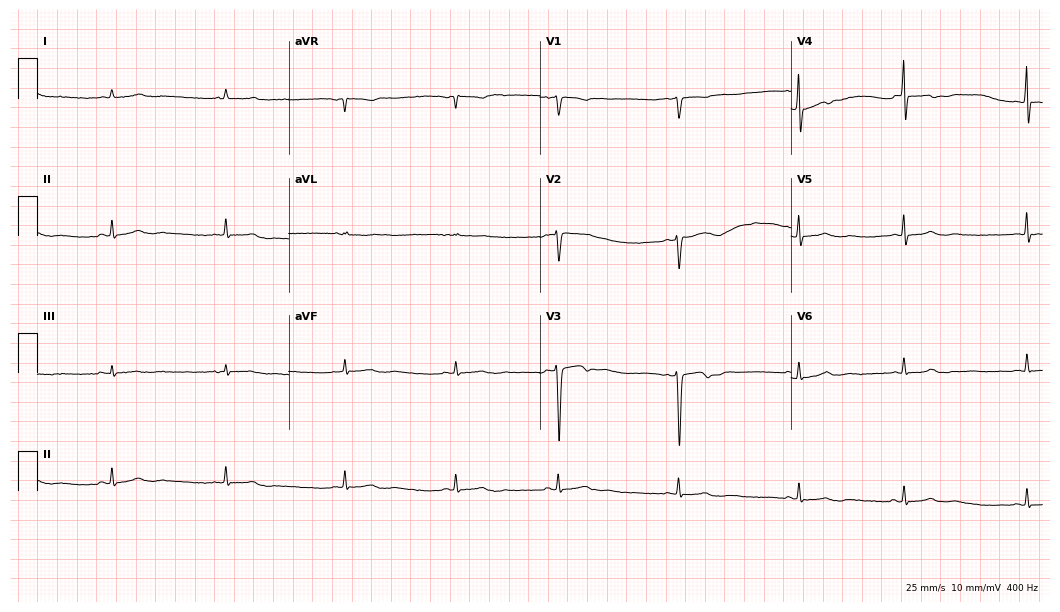
ECG (10.2-second recording at 400 Hz) — a 21-year-old female patient. Screened for six findings — first-degree AV block, right bundle branch block (RBBB), left bundle branch block (LBBB), sinus bradycardia, atrial fibrillation (AF), sinus tachycardia — none is recorded. Only these six findings were labelled.